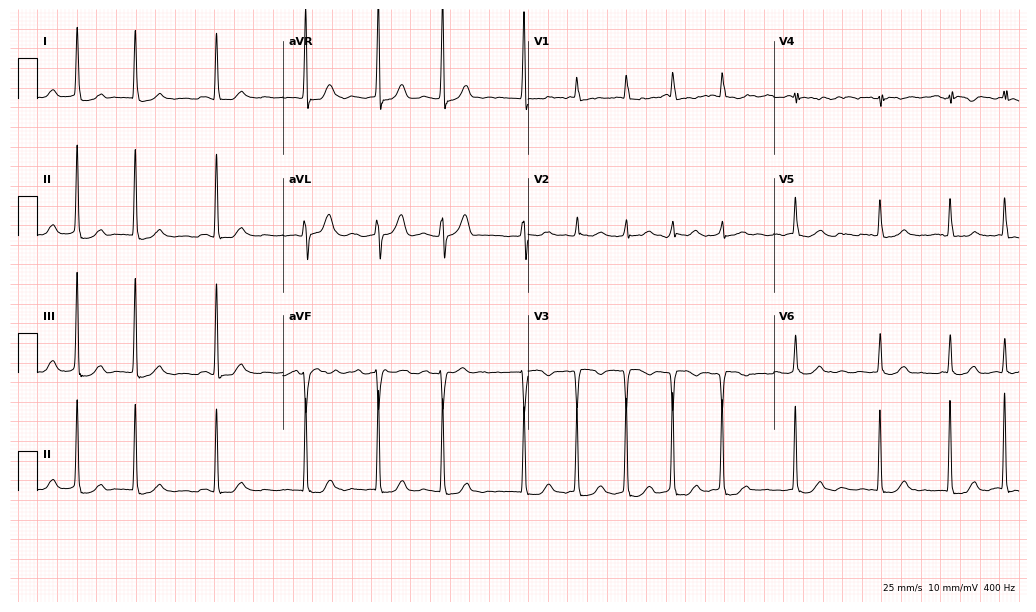
ECG (10-second recording at 400 Hz) — a woman, 84 years old. Findings include atrial fibrillation.